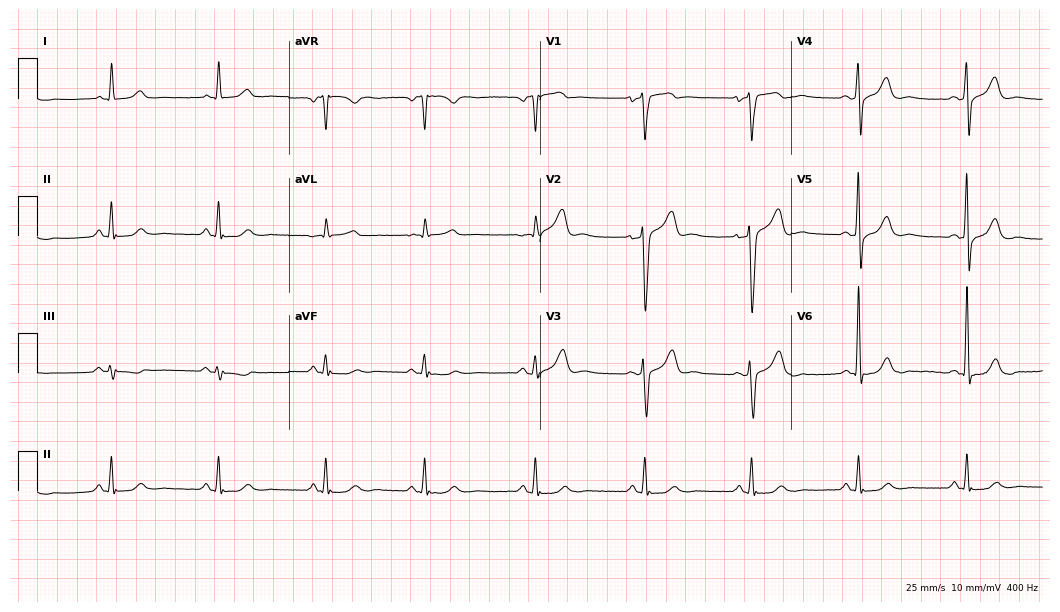
12-lead ECG from a man, 63 years old. Recorded interpretation: within normal limits.